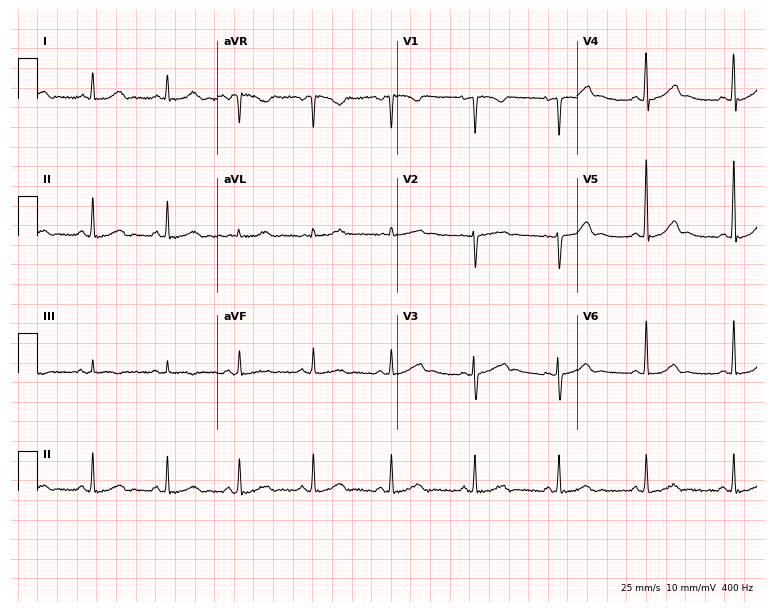
ECG (7.3-second recording at 400 Hz) — a female, 33 years old. Screened for six findings — first-degree AV block, right bundle branch block (RBBB), left bundle branch block (LBBB), sinus bradycardia, atrial fibrillation (AF), sinus tachycardia — none is recorded. Other findings, if any, are not listed.